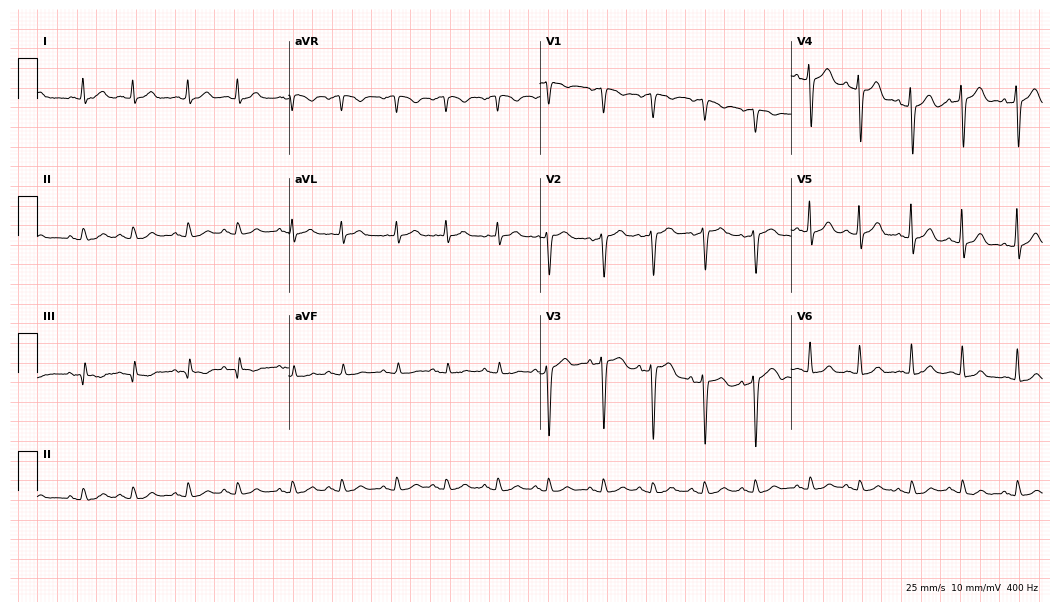
12-lead ECG (10.2-second recording at 400 Hz) from an 80-year-old man. Findings include sinus tachycardia (a sinus rate of 100 beats per minute or more).